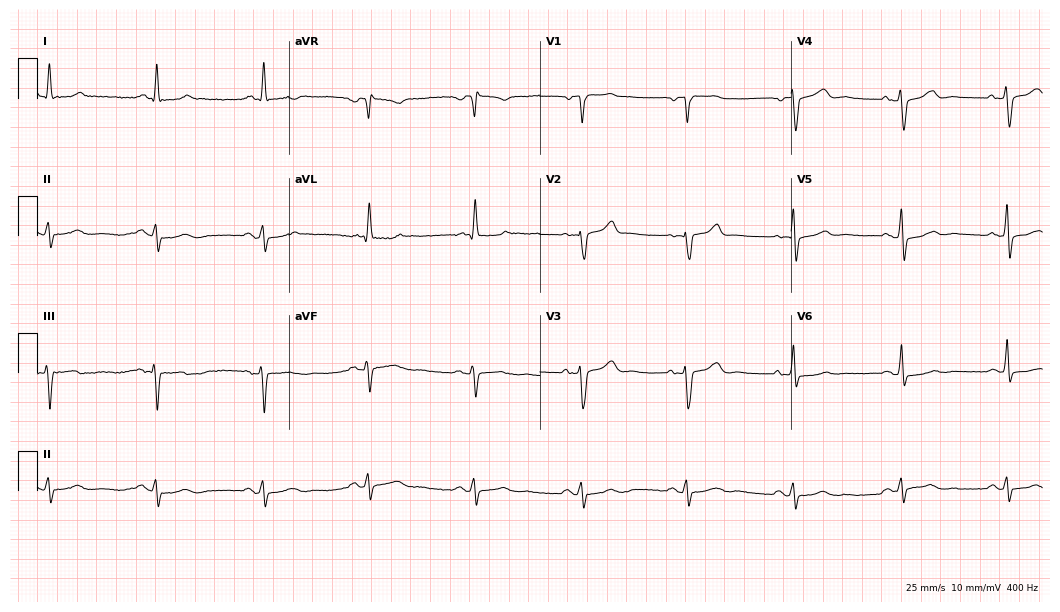
ECG — a 77-year-old male patient. Screened for six findings — first-degree AV block, right bundle branch block, left bundle branch block, sinus bradycardia, atrial fibrillation, sinus tachycardia — none is recorded.